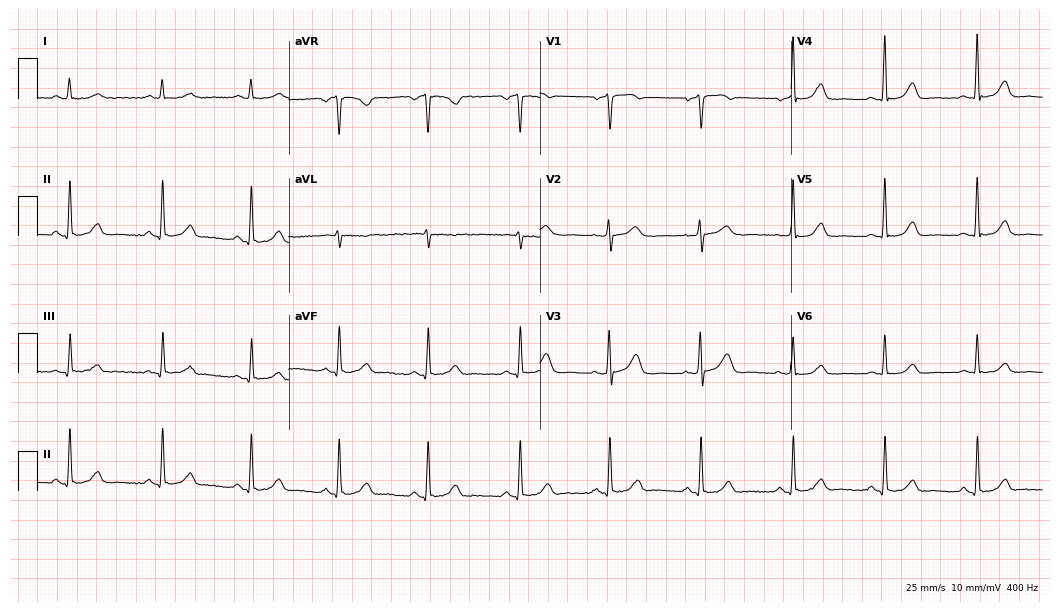
Standard 12-lead ECG recorded from a 57-year-old woman. Read as a normal ECG.